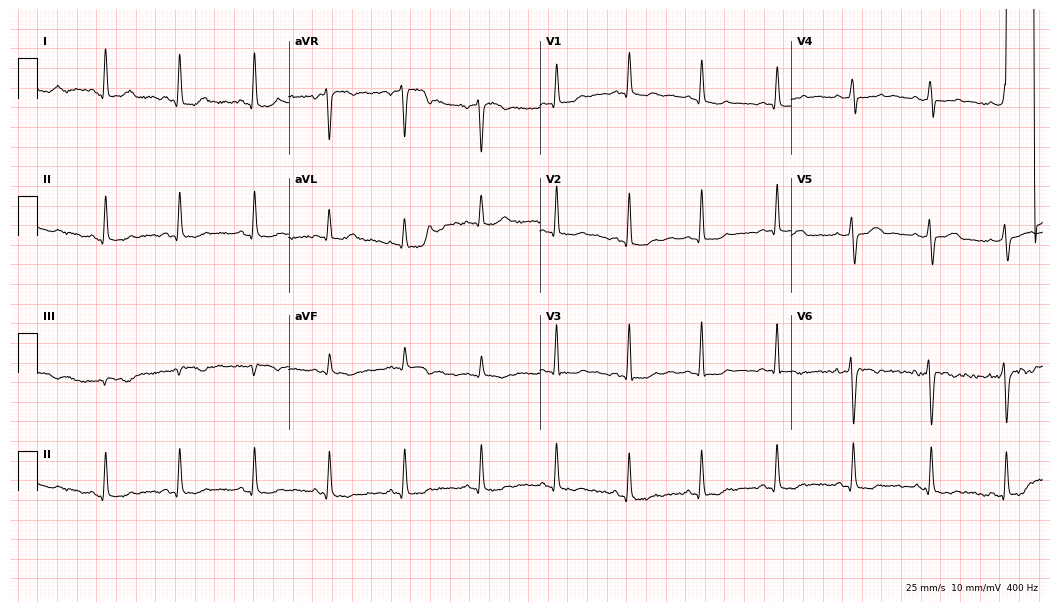
Resting 12-lead electrocardiogram. Patient: a 38-year-old female. None of these six findings is recorded: first-degree AV block, right bundle branch block, left bundle branch block, sinus bradycardia, atrial fibrillation, sinus tachycardia. Other findings, if any, are not listed.